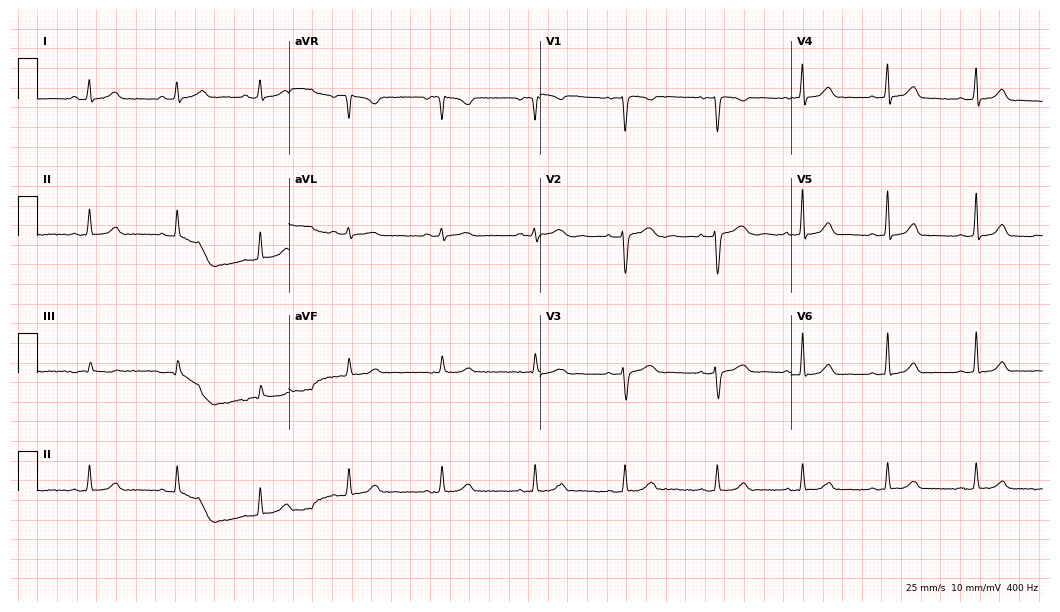
12-lead ECG (10.2-second recording at 400 Hz) from a 39-year-old female. Labelled as a normal ECG.